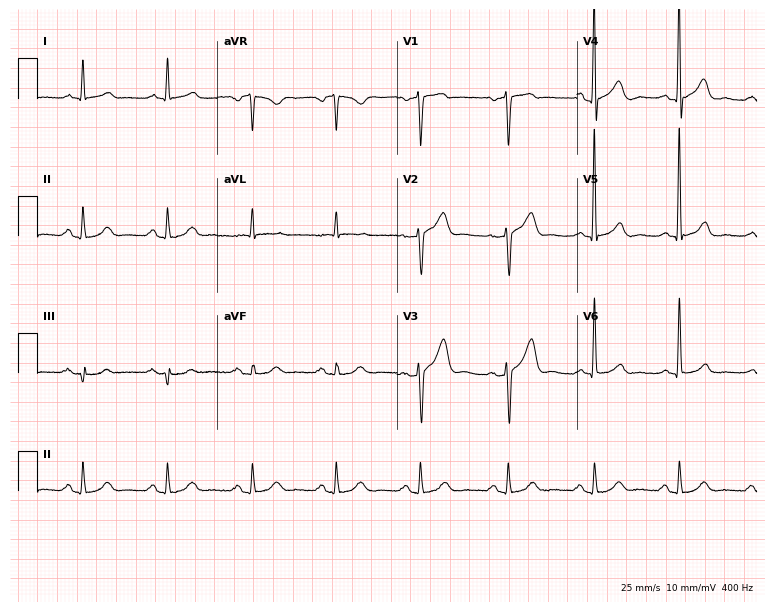
Standard 12-lead ECG recorded from a 64-year-old male patient (7.3-second recording at 400 Hz). None of these six findings is recorded: first-degree AV block, right bundle branch block (RBBB), left bundle branch block (LBBB), sinus bradycardia, atrial fibrillation (AF), sinus tachycardia. Only these six findings were labelled.